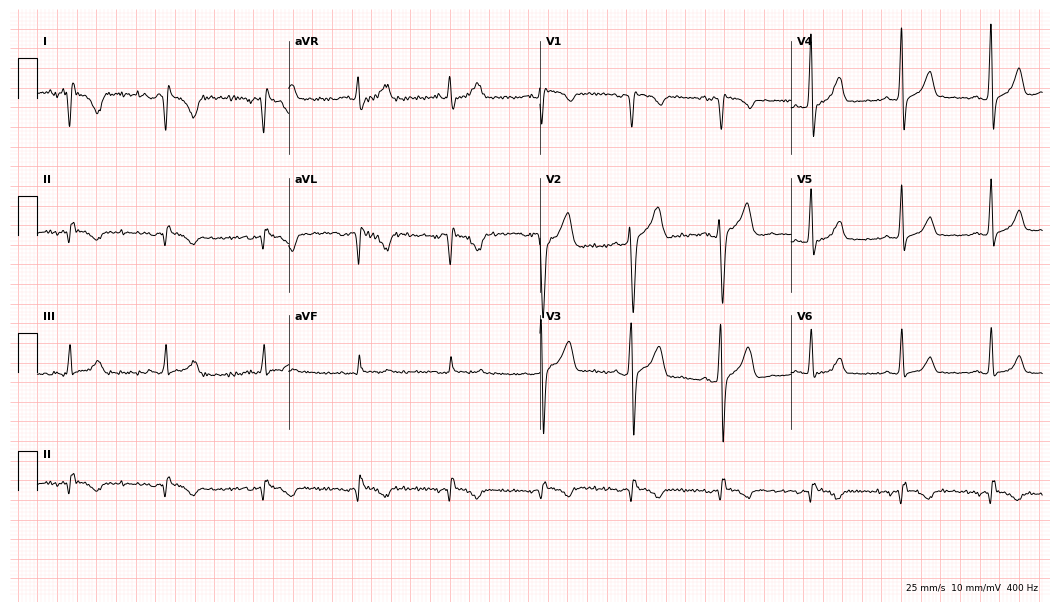
12-lead ECG (10.2-second recording at 400 Hz) from a male patient, 40 years old. Screened for six findings — first-degree AV block, right bundle branch block, left bundle branch block, sinus bradycardia, atrial fibrillation, sinus tachycardia — none is recorded.